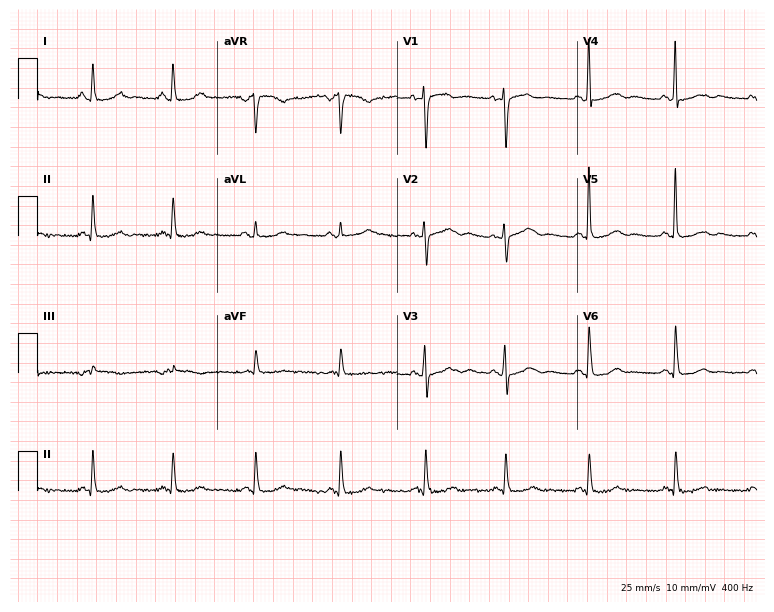
12-lead ECG from a woman, 65 years old (7.3-second recording at 400 Hz). Recorded interpretation: within normal limits.